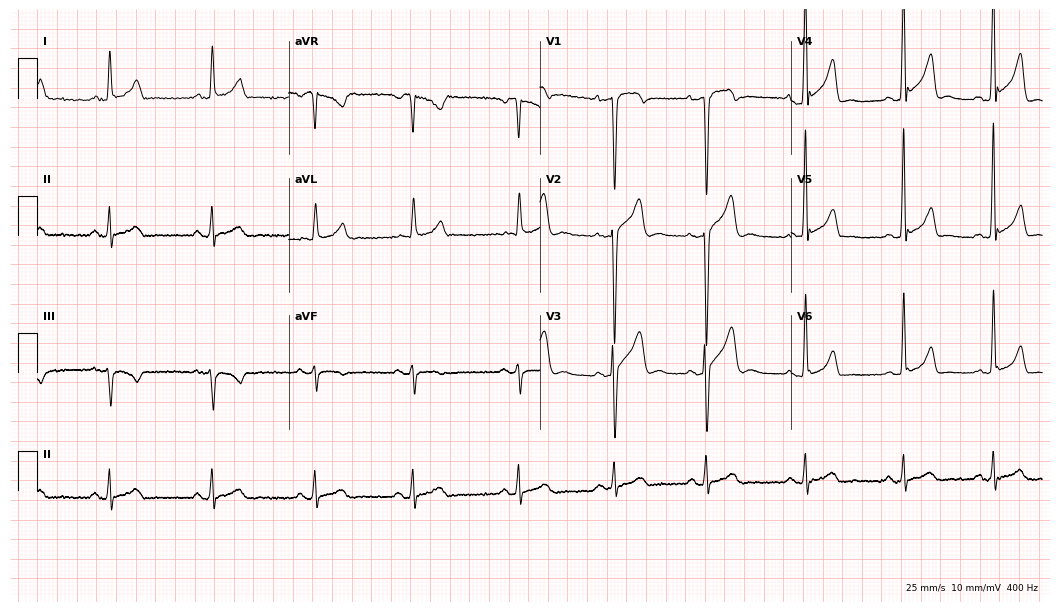
ECG — a 38-year-old male. Labelled as a normal ECG.